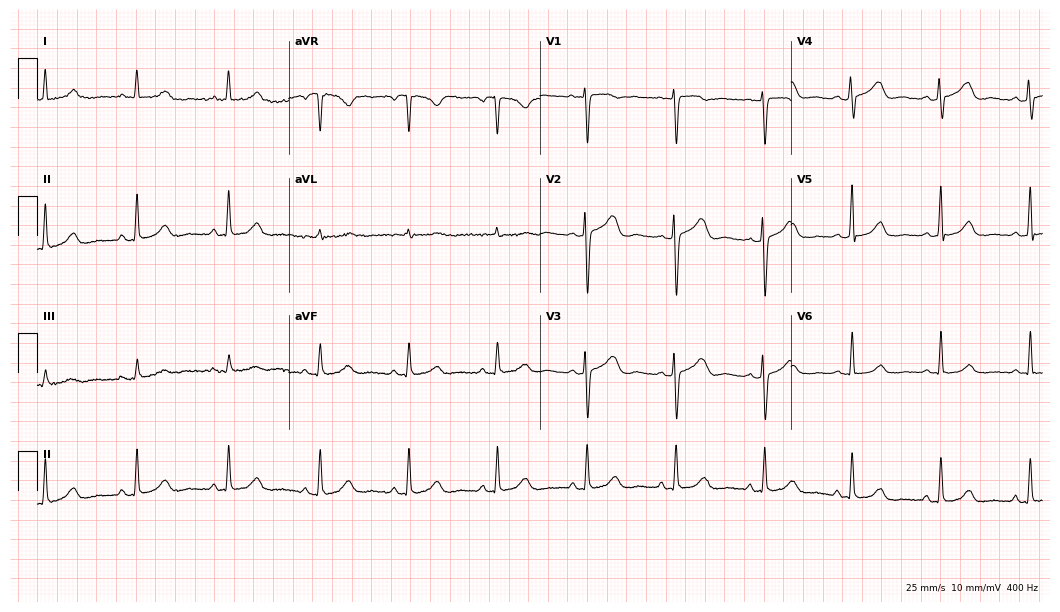
Standard 12-lead ECG recorded from a 54-year-old female patient (10.2-second recording at 400 Hz). None of these six findings is recorded: first-degree AV block, right bundle branch block (RBBB), left bundle branch block (LBBB), sinus bradycardia, atrial fibrillation (AF), sinus tachycardia.